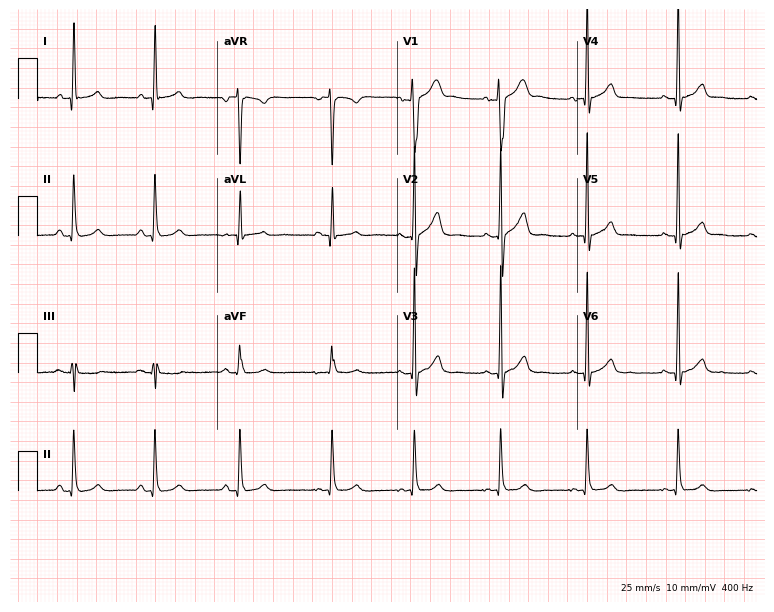
Resting 12-lead electrocardiogram (7.3-second recording at 400 Hz). Patient: a 27-year-old man. Read as a normal ECG.